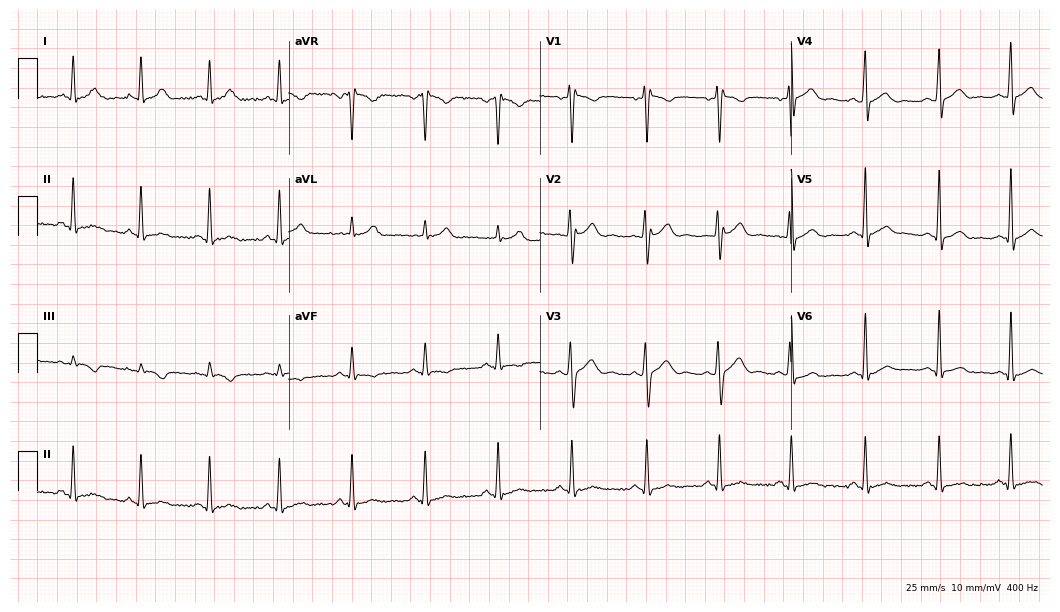
Standard 12-lead ECG recorded from a 39-year-old male (10.2-second recording at 400 Hz). Read as a normal ECG.